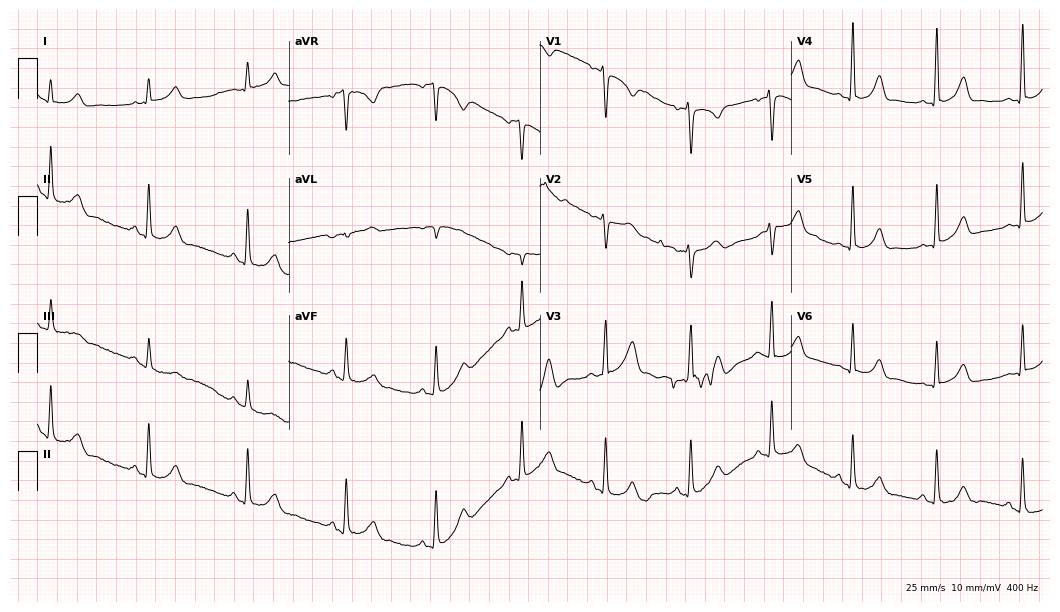
Electrocardiogram (10.2-second recording at 400 Hz), a female, 31 years old. Of the six screened findings (first-degree AV block, right bundle branch block, left bundle branch block, sinus bradycardia, atrial fibrillation, sinus tachycardia), none is recorded.